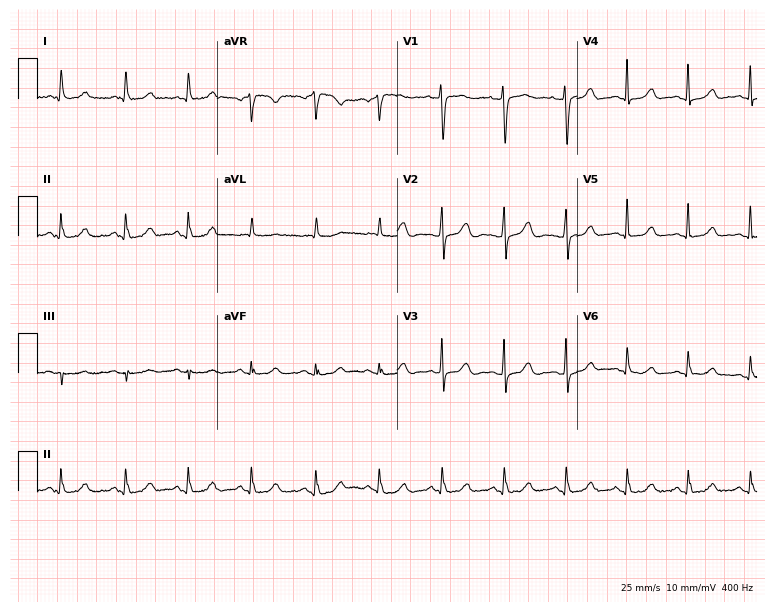
12-lead ECG from a 77-year-old woman. No first-degree AV block, right bundle branch block, left bundle branch block, sinus bradycardia, atrial fibrillation or sinus tachycardia recorded for this tracing.